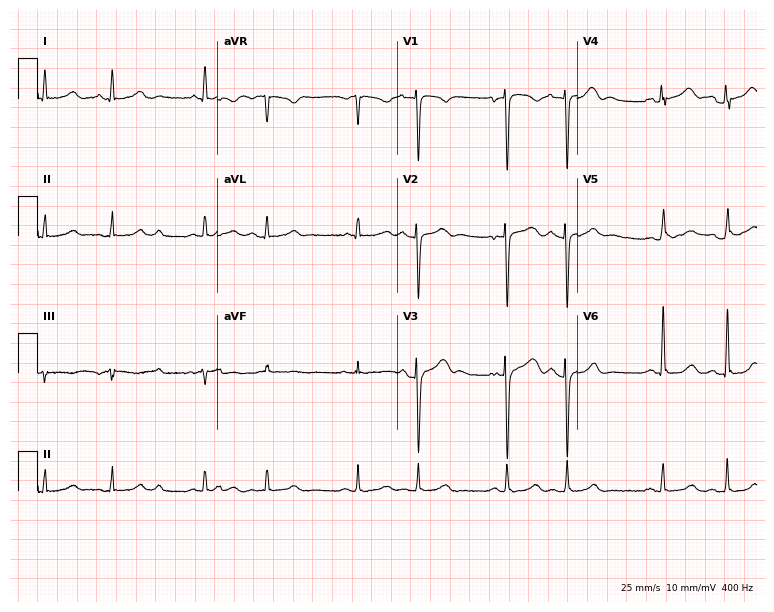
Electrocardiogram (7.3-second recording at 400 Hz), a female patient, 23 years old. Of the six screened findings (first-degree AV block, right bundle branch block (RBBB), left bundle branch block (LBBB), sinus bradycardia, atrial fibrillation (AF), sinus tachycardia), none is recorded.